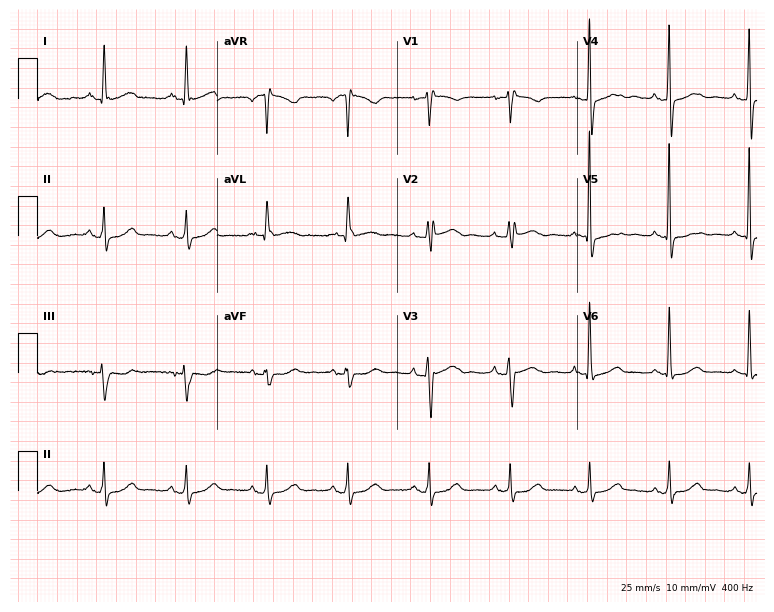
12-lead ECG from a 59-year-old female. Screened for six findings — first-degree AV block, right bundle branch block, left bundle branch block, sinus bradycardia, atrial fibrillation, sinus tachycardia — none is recorded. Only these six findings were labelled.